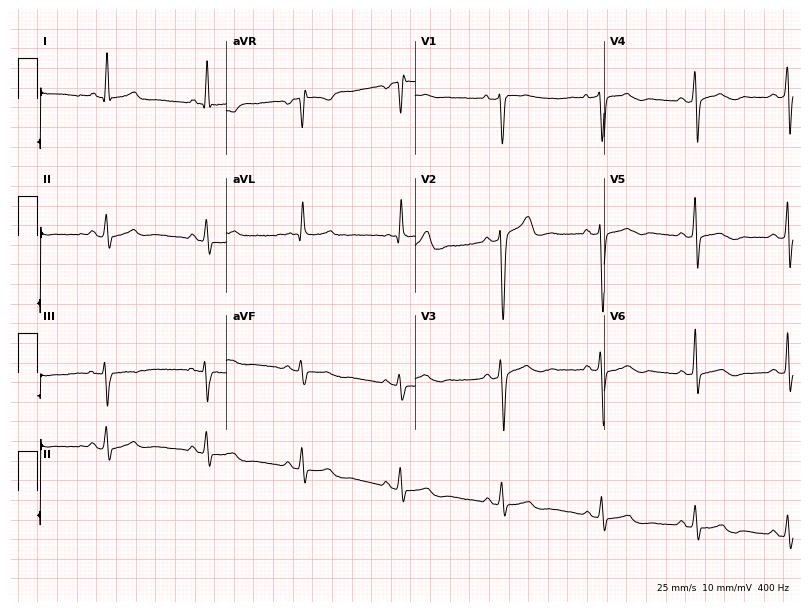
12-lead ECG from a 43-year-old male patient. Labelled as a normal ECG.